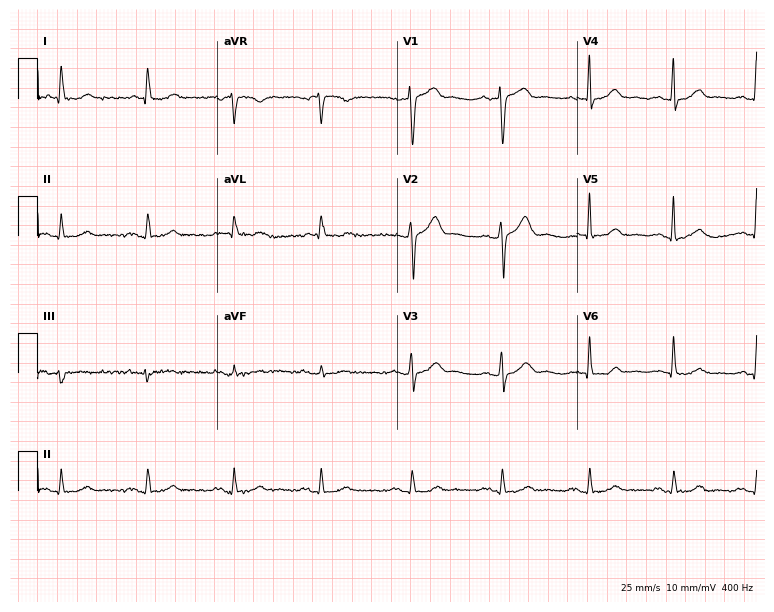
12-lead ECG (7.3-second recording at 400 Hz) from a male, 81 years old. Labelled as a normal ECG.